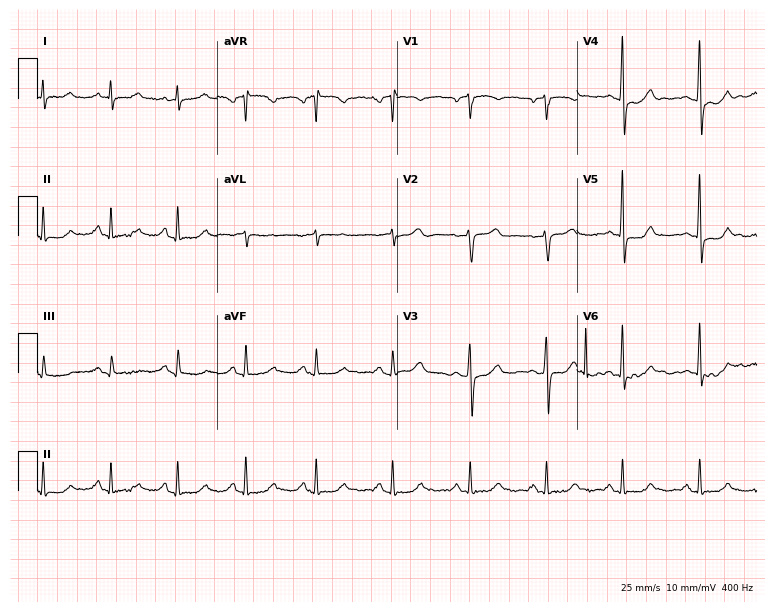
Electrocardiogram (7.3-second recording at 400 Hz), a 54-year-old female. Of the six screened findings (first-degree AV block, right bundle branch block (RBBB), left bundle branch block (LBBB), sinus bradycardia, atrial fibrillation (AF), sinus tachycardia), none is recorded. Other findings, if any, are not listed.